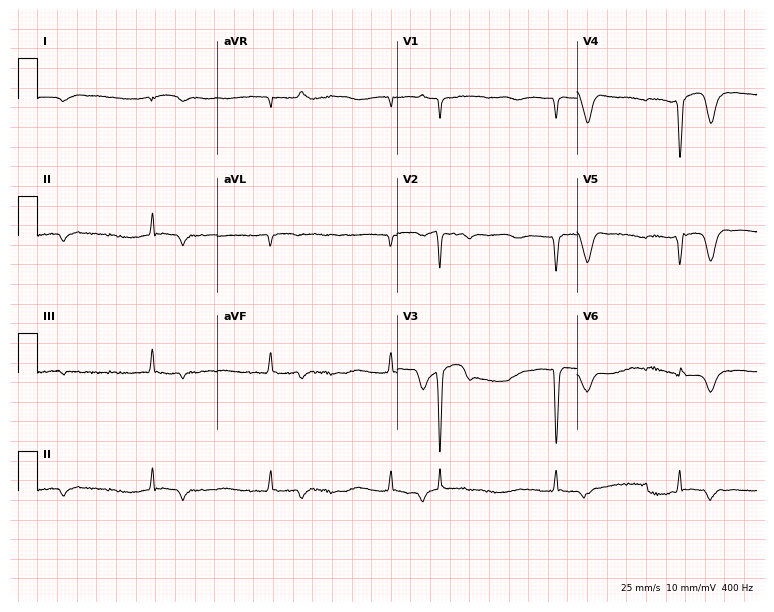
Resting 12-lead electrocardiogram. Patient: a 58-year-old male. None of these six findings is recorded: first-degree AV block, right bundle branch block (RBBB), left bundle branch block (LBBB), sinus bradycardia, atrial fibrillation (AF), sinus tachycardia.